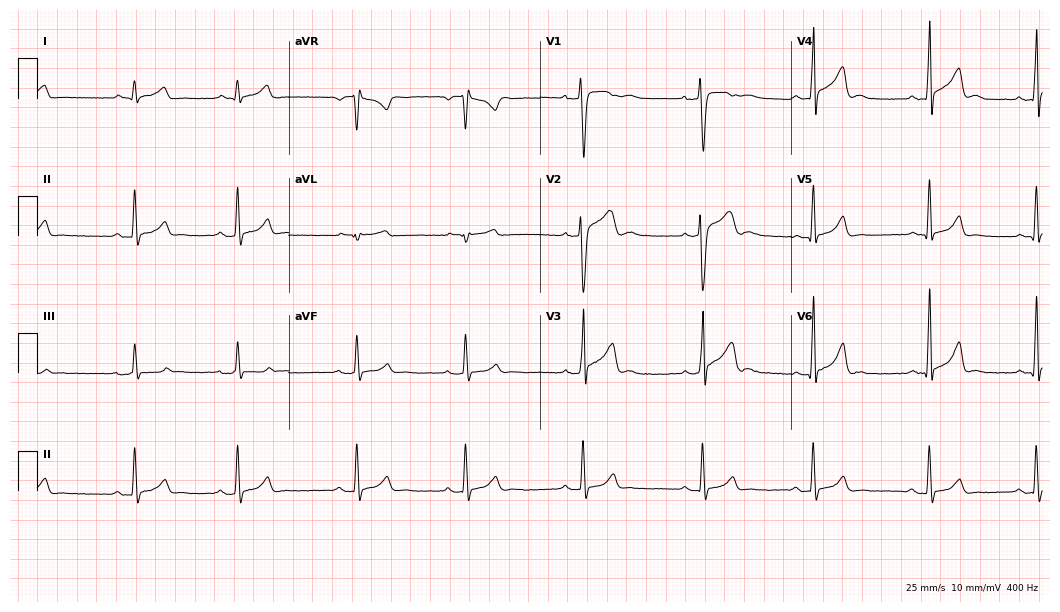
ECG (10.2-second recording at 400 Hz) — a 21-year-old man. Screened for six findings — first-degree AV block, right bundle branch block, left bundle branch block, sinus bradycardia, atrial fibrillation, sinus tachycardia — none is recorded.